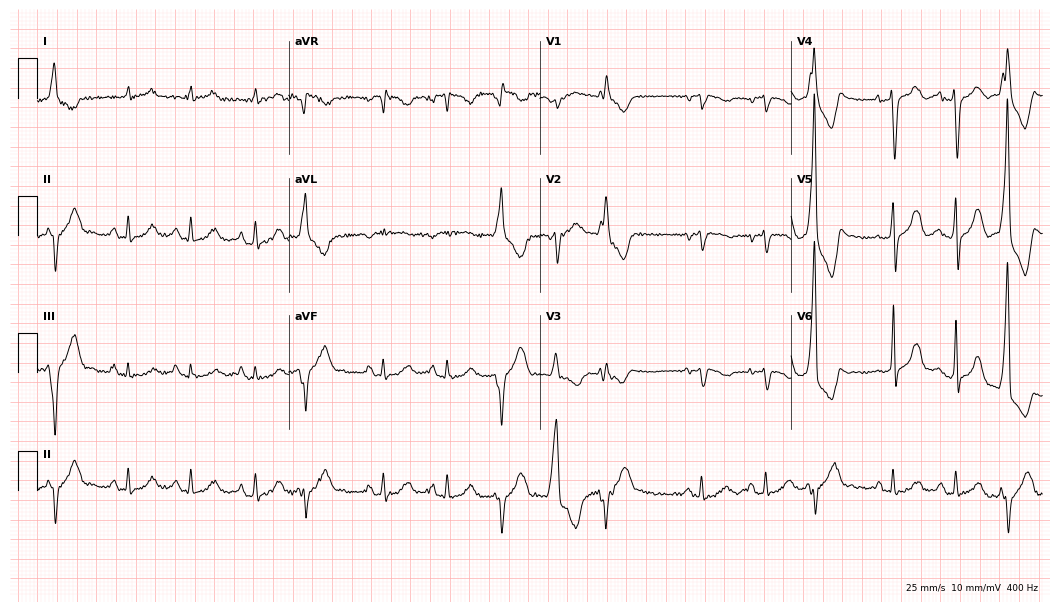
12-lead ECG from a woman, 73 years old (10.2-second recording at 400 Hz). No first-degree AV block, right bundle branch block, left bundle branch block, sinus bradycardia, atrial fibrillation or sinus tachycardia recorded for this tracing. Only these six findings were labelled.